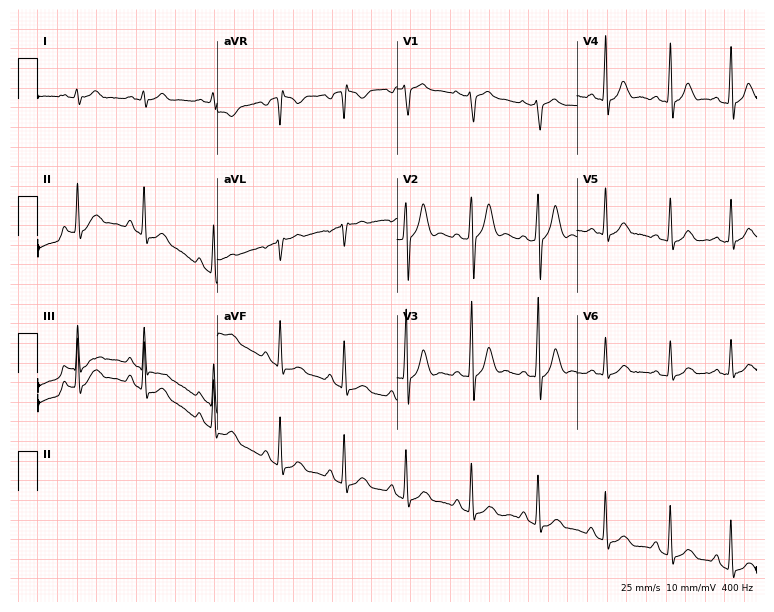
12-lead ECG from a male, 21 years old (7.3-second recording at 400 Hz). No first-degree AV block, right bundle branch block, left bundle branch block, sinus bradycardia, atrial fibrillation or sinus tachycardia recorded for this tracing. Findings outside these six are not listed.